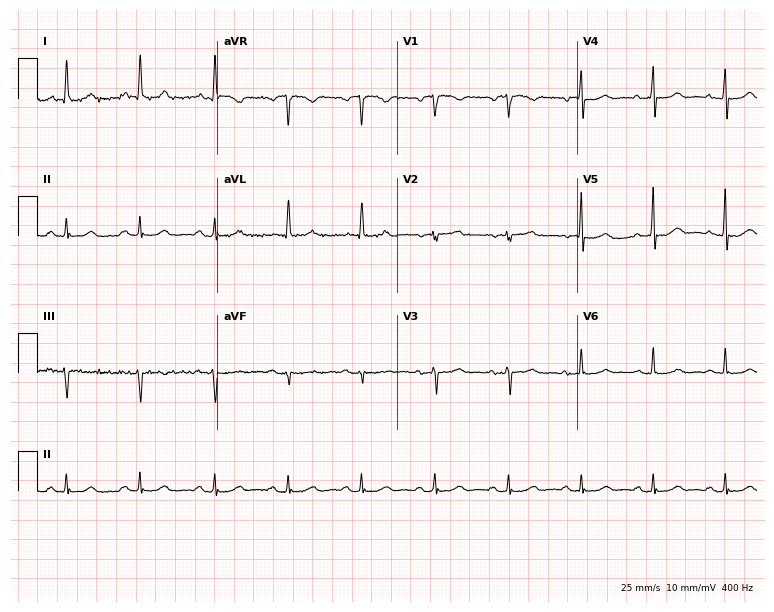
Electrocardiogram (7.3-second recording at 400 Hz), a woman, 77 years old. Overall reading on record: normal ECG.